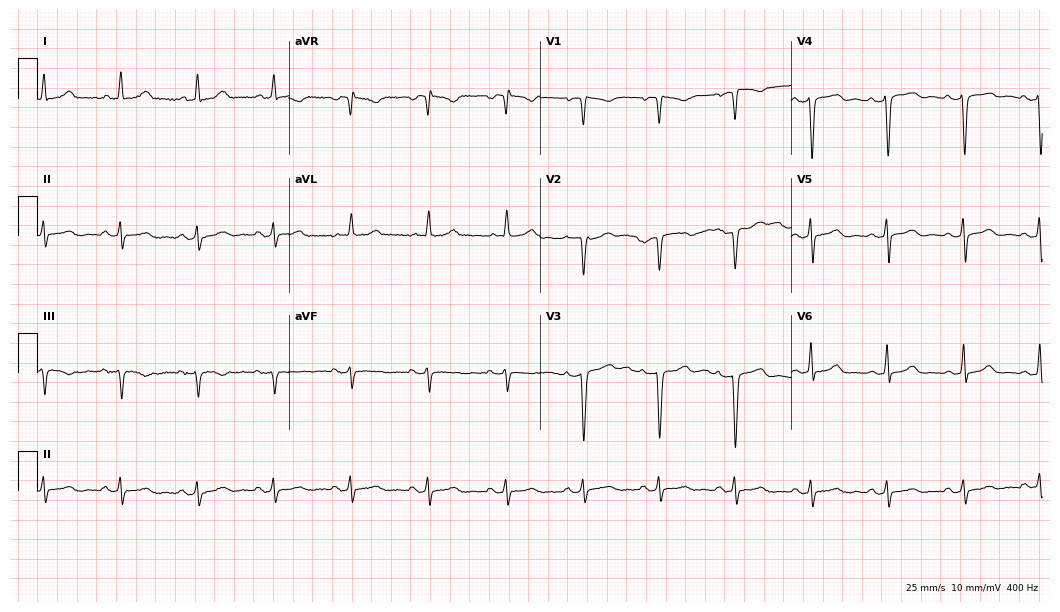
Resting 12-lead electrocardiogram. Patient: a 49-year-old male. None of these six findings is recorded: first-degree AV block, right bundle branch block, left bundle branch block, sinus bradycardia, atrial fibrillation, sinus tachycardia. Other findings, if any, are not listed.